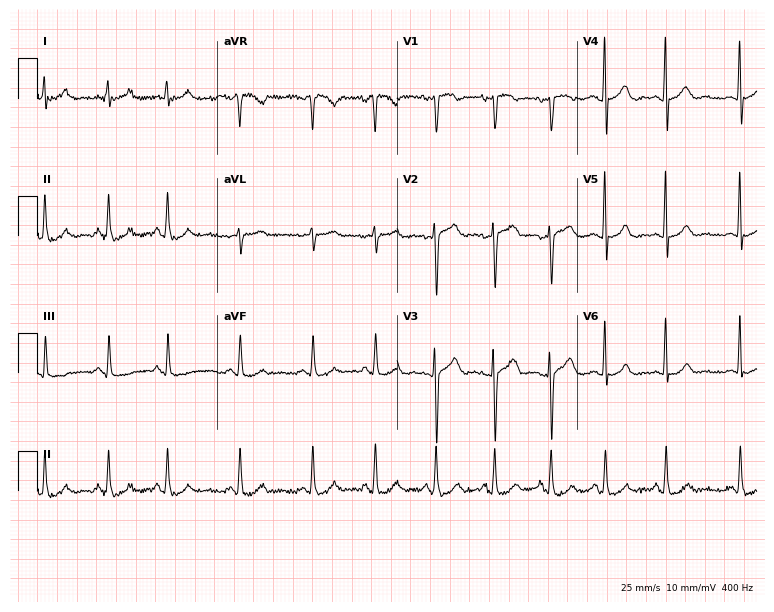
12-lead ECG (7.3-second recording at 400 Hz) from a 38-year-old woman. Labelled as a normal ECG.